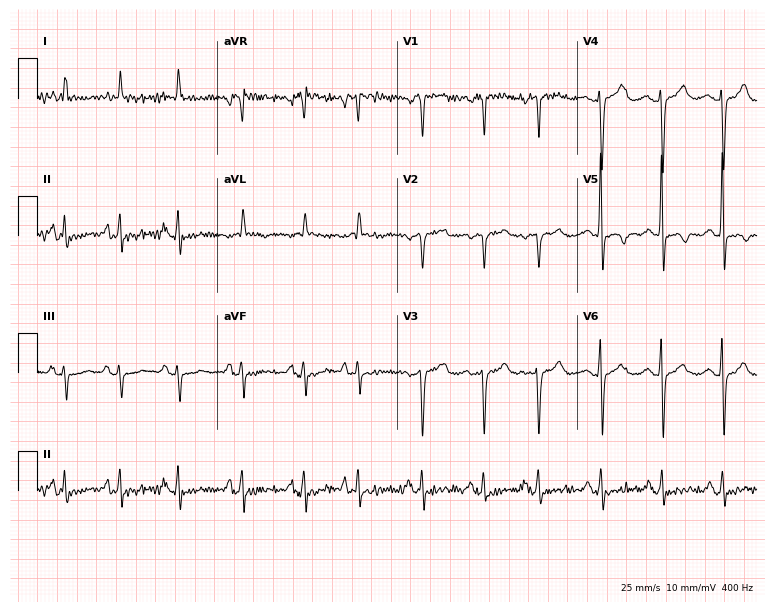
Standard 12-lead ECG recorded from a 74-year-old female. None of these six findings is recorded: first-degree AV block, right bundle branch block (RBBB), left bundle branch block (LBBB), sinus bradycardia, atrial fibrillation (AF), sinus tachycardia. Other findings, if any, are not listed.